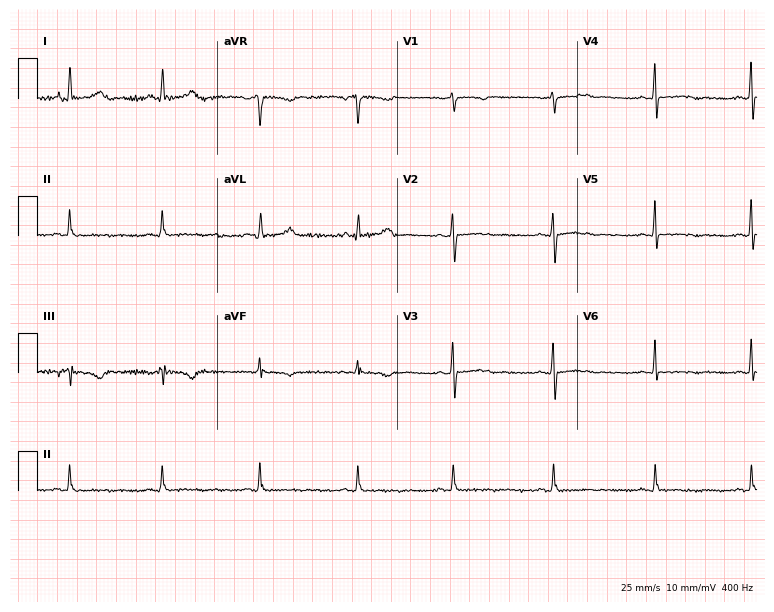
Electrocardiogram (7.3-second recording at 400 Hz), a woman, 48 years old. Of the six screened findings (first-degree AV block, right bundle branch block, left bundle branch block, sinus bradycardia, atrial fibrillation, sinus tachycardia), none is recorded. Only these six findings were labelled.